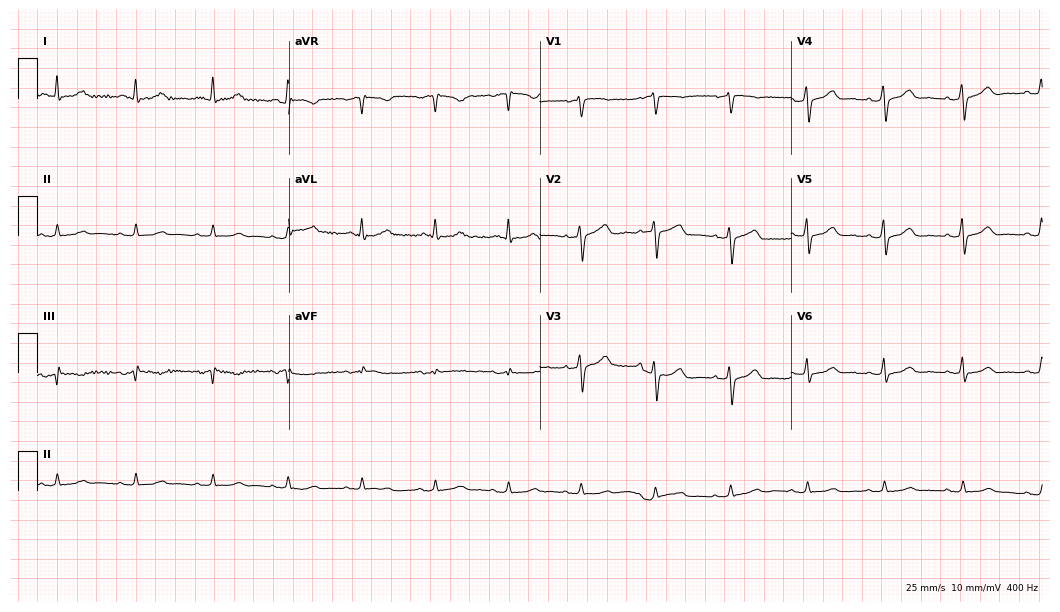
12-lead ECG from a 53-year-old male patient. Labelled as a normal ECG.